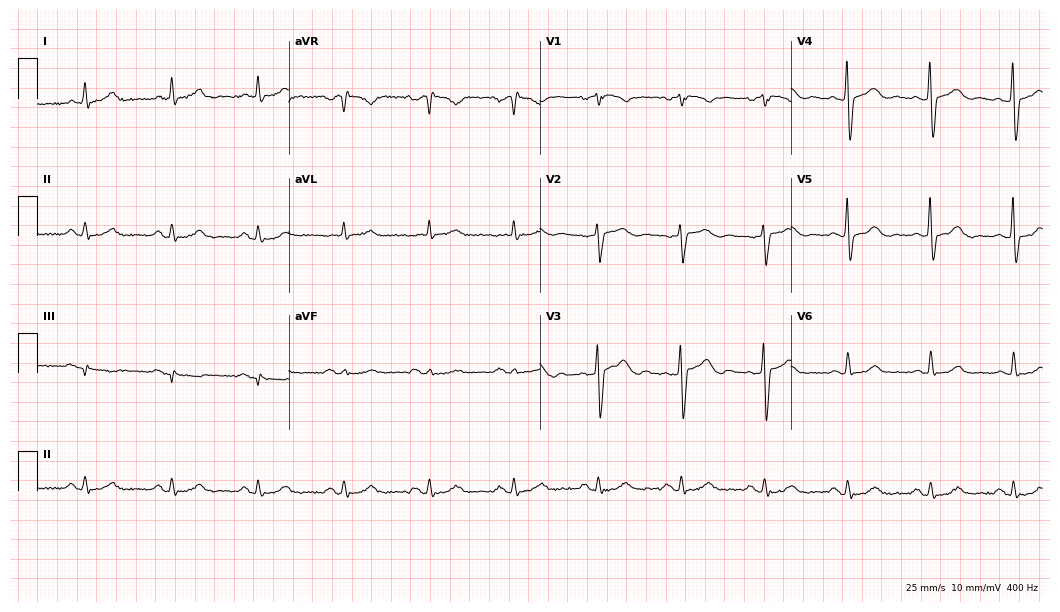
12-lead ECG from a 64-year-old man. Screened for six findings — first-degree AV block, right bundle branch block, left bundle branch block, sinus bradycardia, atrial fibrillation, sinus tachycardia — none is recorded. Only these six findings were labelled.